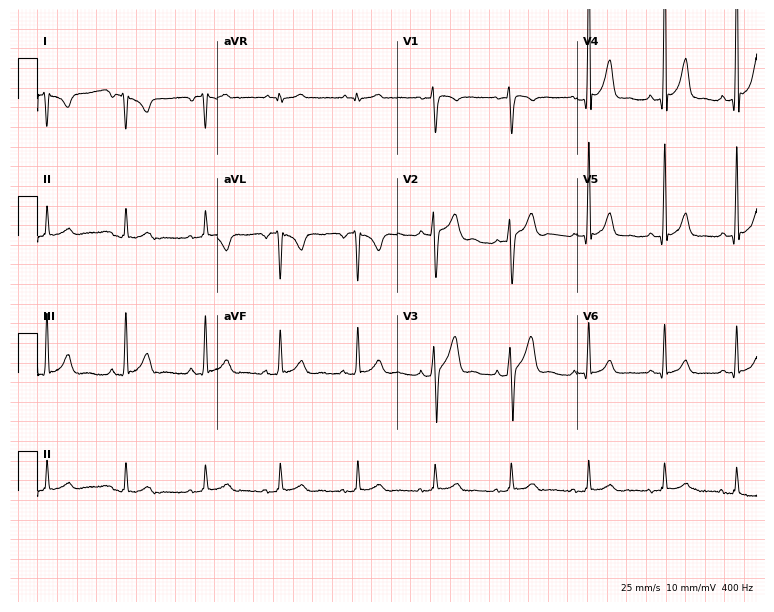
ECG (7.3-second recording at 400 Hz) — a 20-year-old male. Screened for six findings — first-degree AV block, right bundle branch block, left bundle branch block, sinus bradycardia, atrial fibrillation, sinus tachycardia — none is recorded.